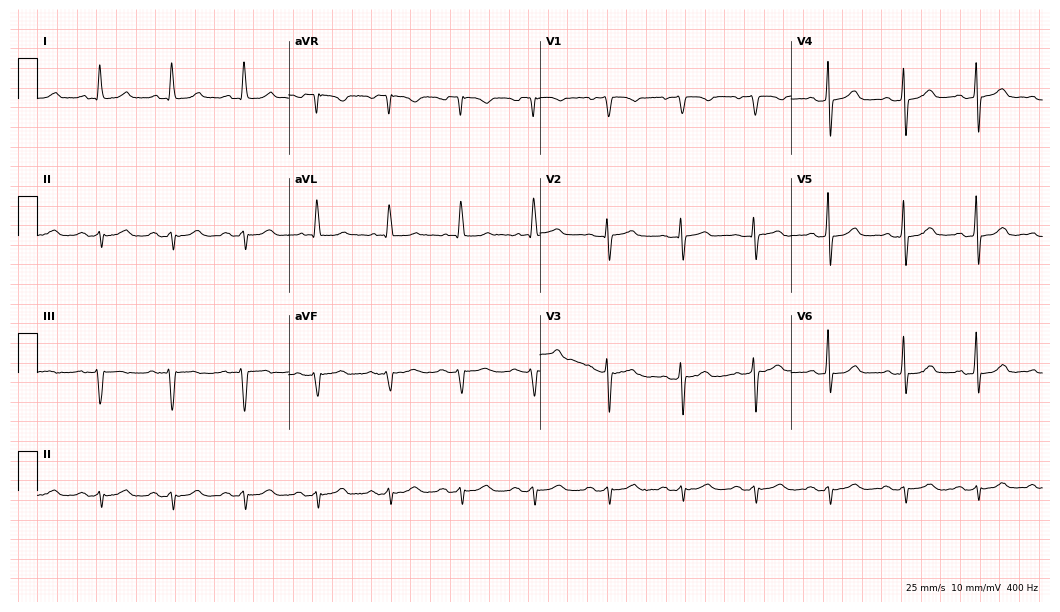
Standard 12-lead ECG recorded from a 72-year-old female (10.2-second recording at 400 Hz). Read as a normal ECG.